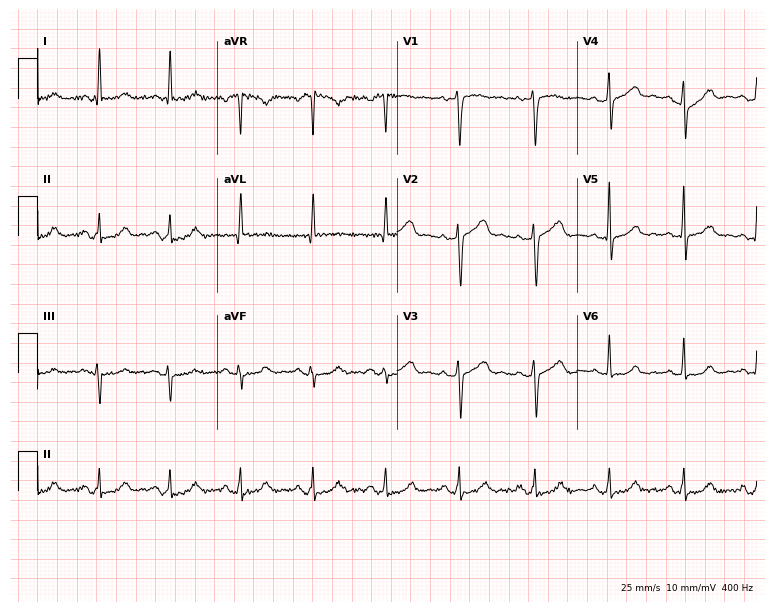
Resting 12-lead electrocardiogram (7.3-second recording at 400 Hz). Patient: a male, 69 years old. Read as a normal ECG.